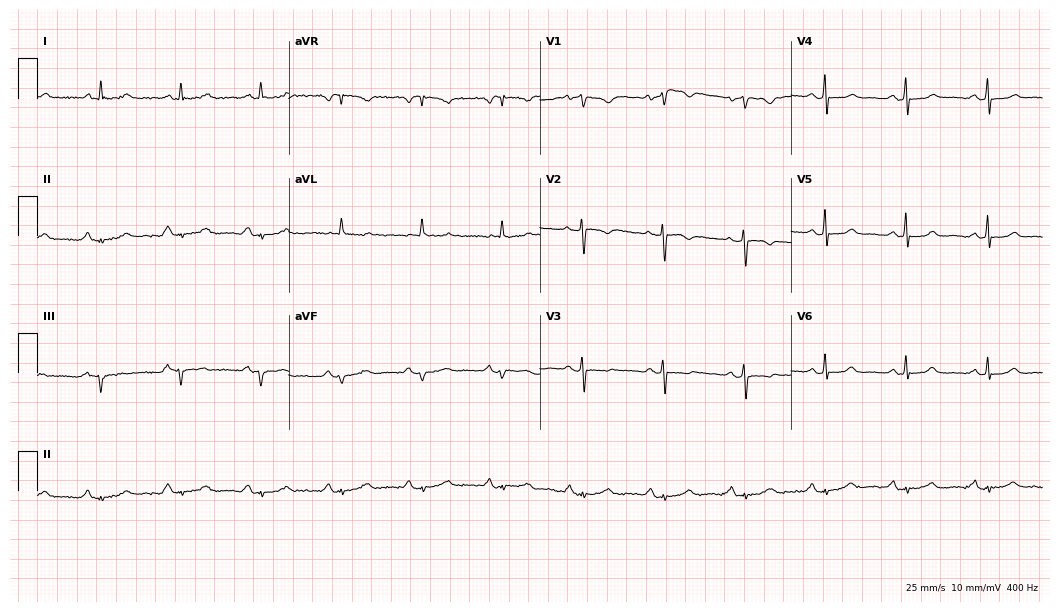
Standard 12-lead ECG recorded from a woman, 82 years old (10.2-second recording at 400 Hz). None of these six findings is recorded: first-degree AV block, right bundle branch block, left bundle branch block, sinus bradycardia, atrial fibrillation, sinus tachycardia. Other findings, if any, are not listed.